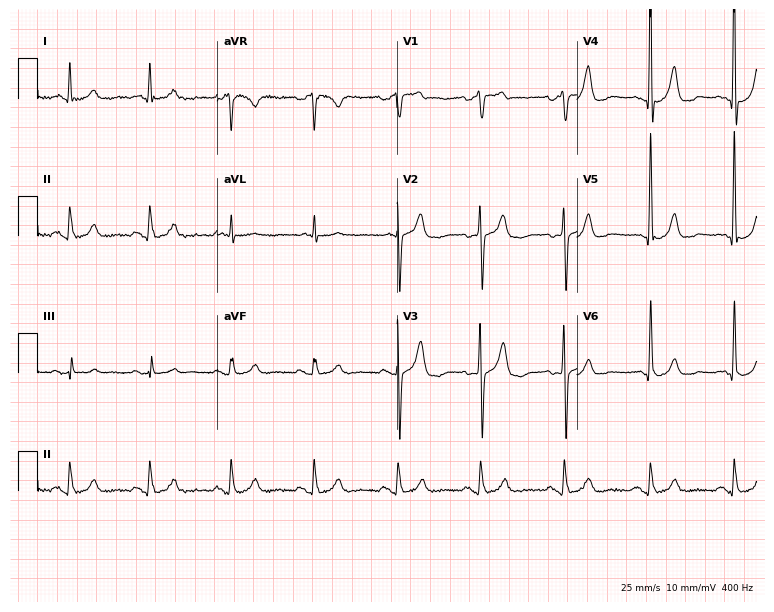
Electrocardiogram, an 83-year-old male. Of the six screened findings (first-degree AV block, right bundle branch block (RBBB), left bundle branch block (LBBB), sinus bradycardia, atrial fibrillation (AF), sinus tachycardia), none is recorded.